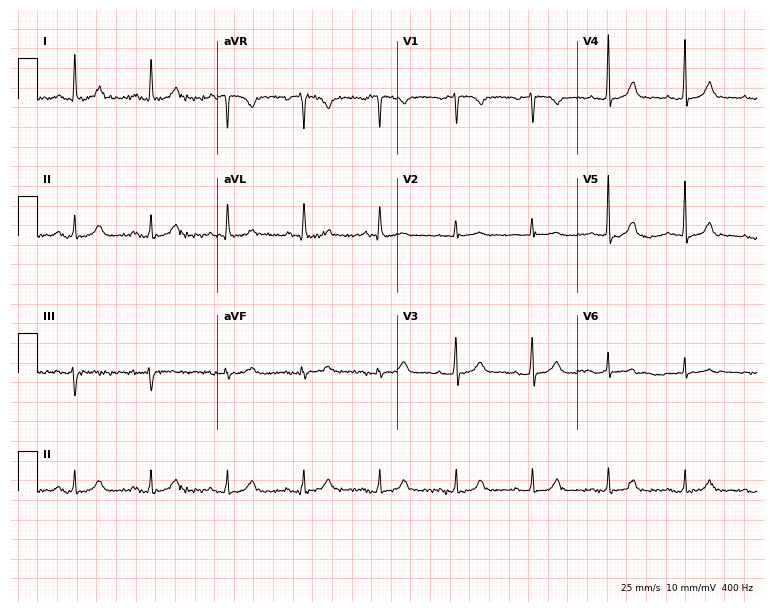
12-lead ECG from a female, 81 years old (7.3-second recording at 400 Hz). Recorded interpretation: within normal limits.